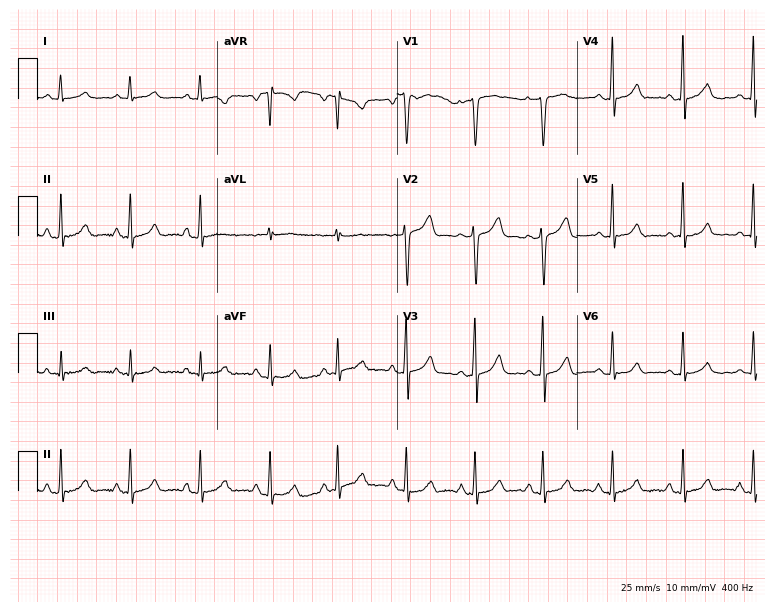
12-lead ECG from a 33-year-old female patient. Recorded interpretation: within normal limits.